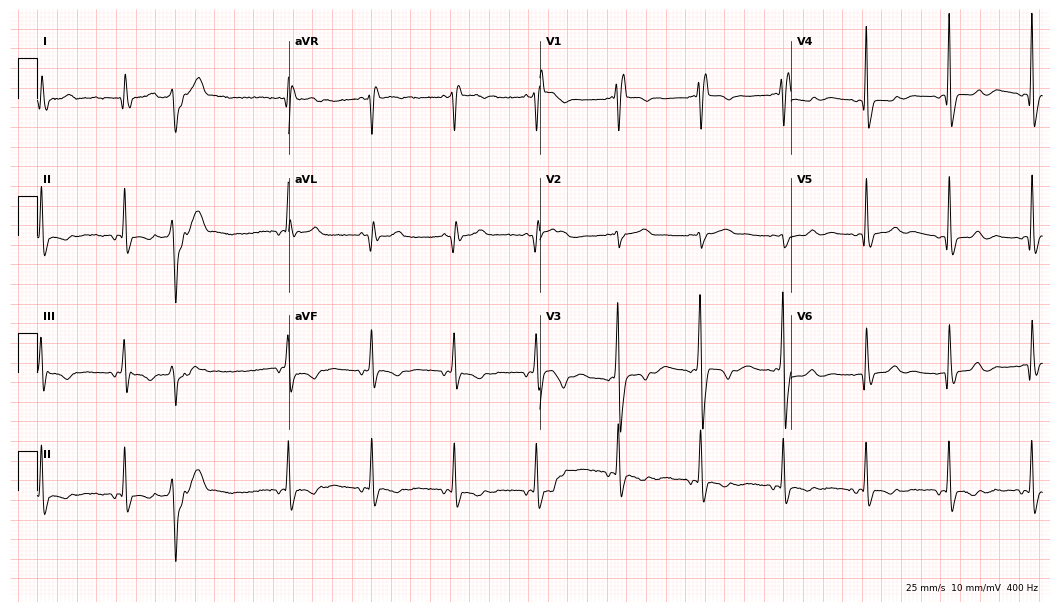
Electrocardiogram, a male, 82 years old. Of the six screened findings (first-degree AV block, right bundle branch block, left bundle branch block, sinus bradycardia, atrial fibrillation, sinus tachycardia), none is recorded.